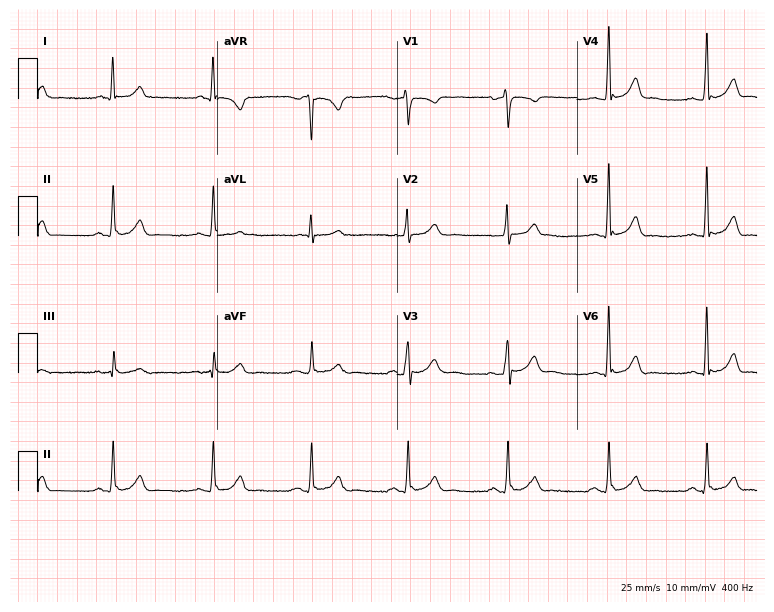
12-lead ECG from a 52-year-old male patient. Recorded interpretation: within normal limits.